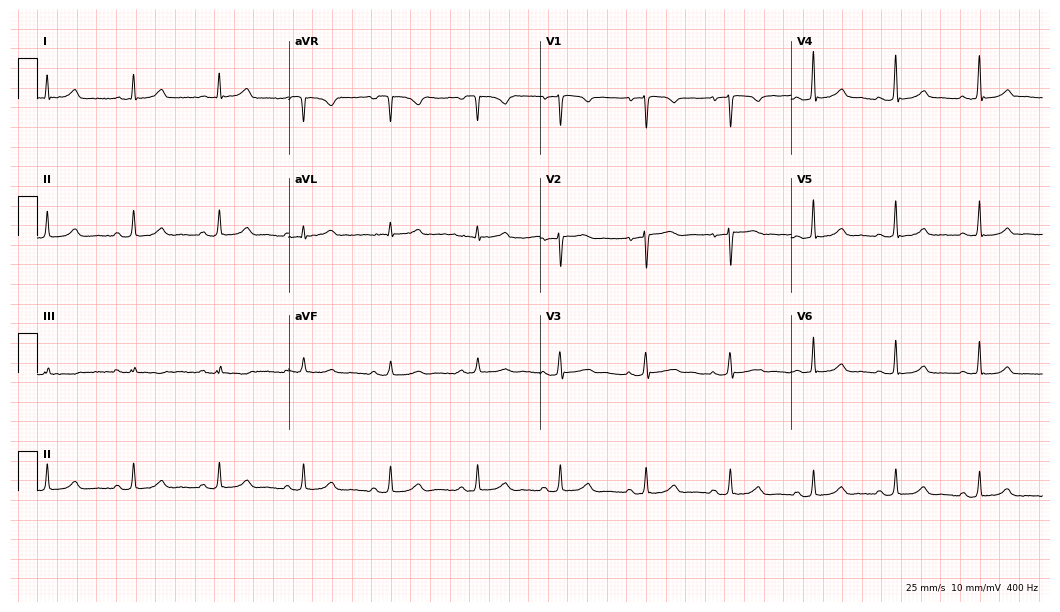
ECG — a woman, 39 years old. Labelled as a normal ECG.